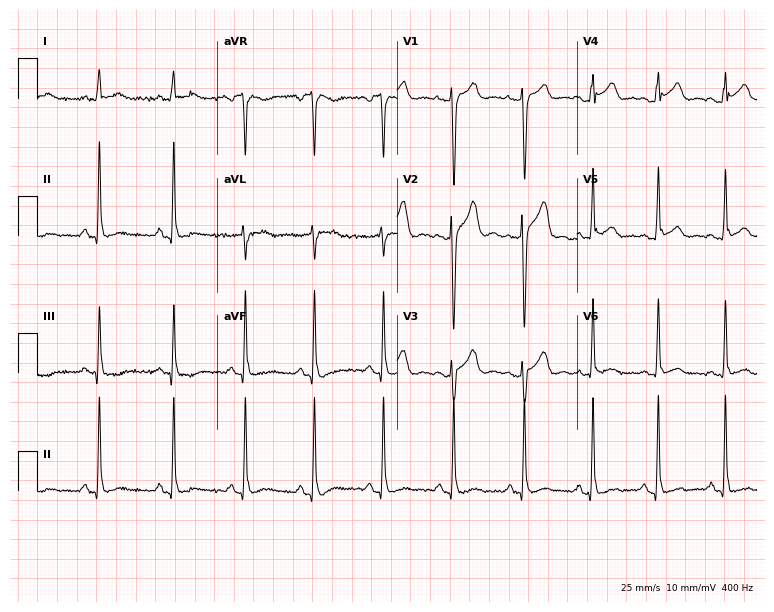
12-lead ECG (7.3-second recording at 400 Hz) from a man, 31 years old. Screened for six findings — first-degree AV block, right bundle branch block, left bundle branch block, sinus bradycardia, atrial fibrillation, sinus tachycardia — none is recorded. Findings outside these six are not listed.